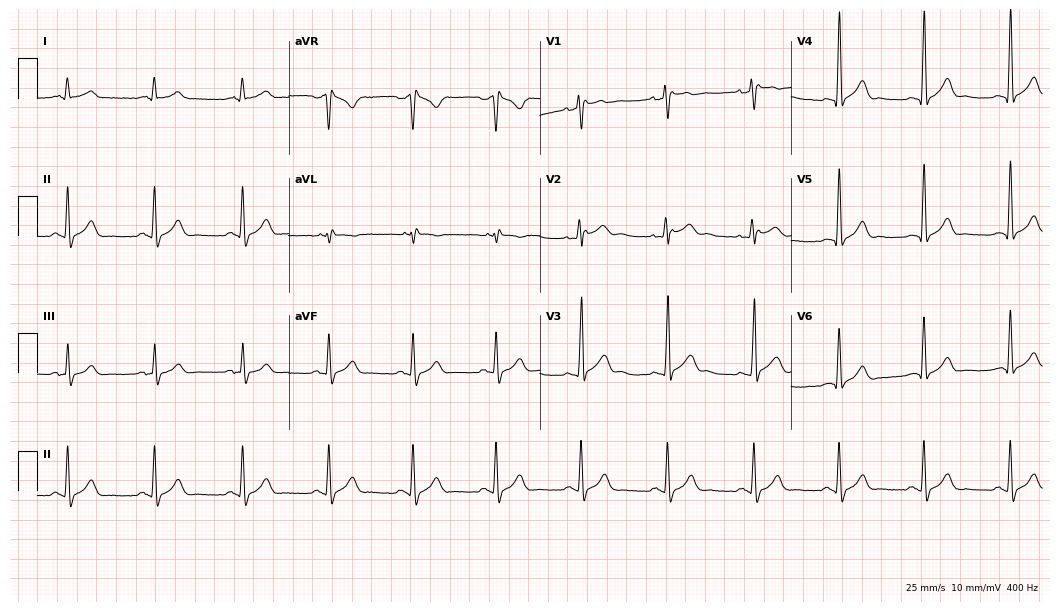
12-lead ECG (10.2-second recording at 400 Hz) from a man, 33 years old. Screened for six findings — first-degree AV block, right bundle branch block, left bundle branch block, sinus bradycardia, atrial fibrillation, sinus tachycardia — none is recorded.